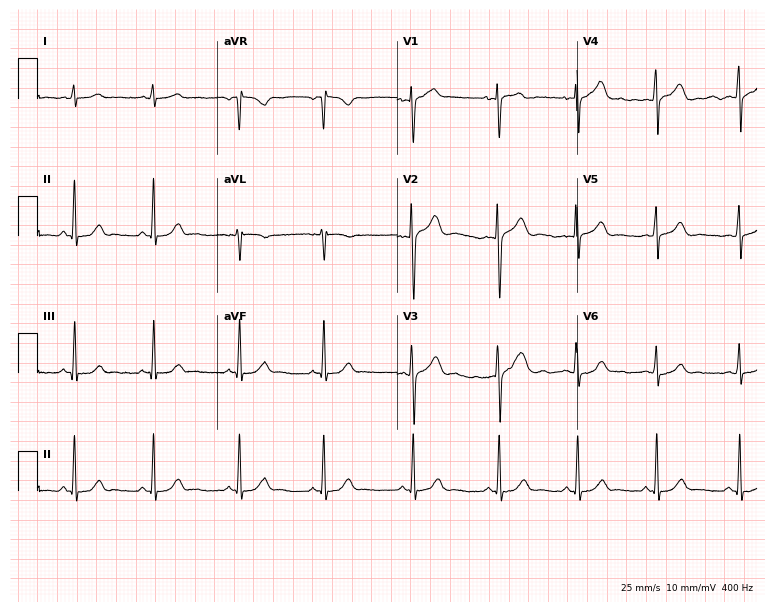
Electrocardiogram (7.3-second recording at 400 Hz), a female patient, 25 years old. Overall reading on record: normal ECG.